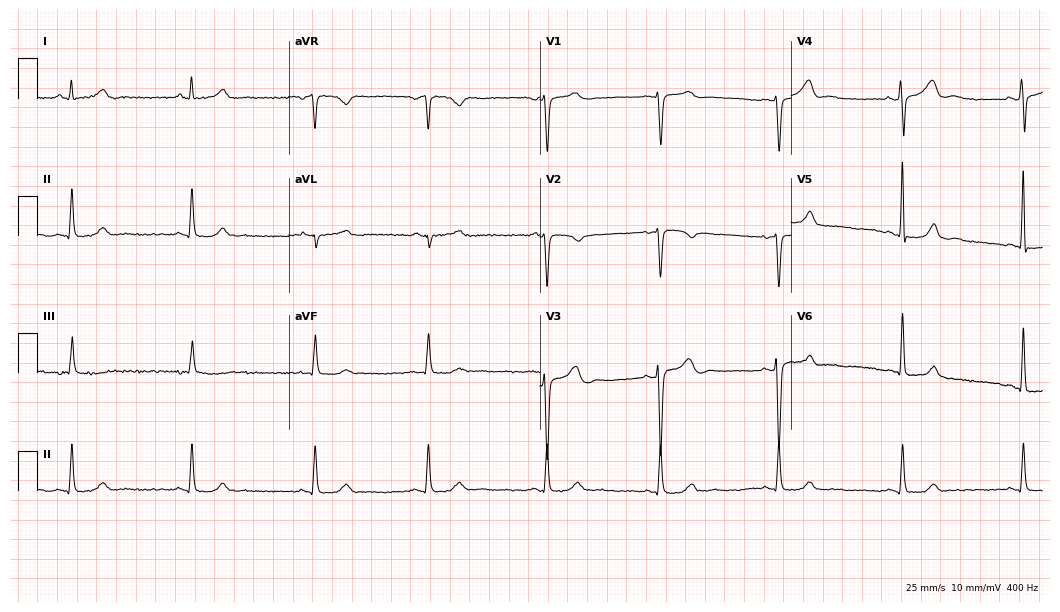
12-lead ECG (10.2-second recording at 400 Hz) from a 40-year-old female patient. Screened for six findings — first-degree AV block, right bundle branch block, left bundle branch block, sinus bradycardia, atrial fibrillation, sinus tachycardia — none is recorded.